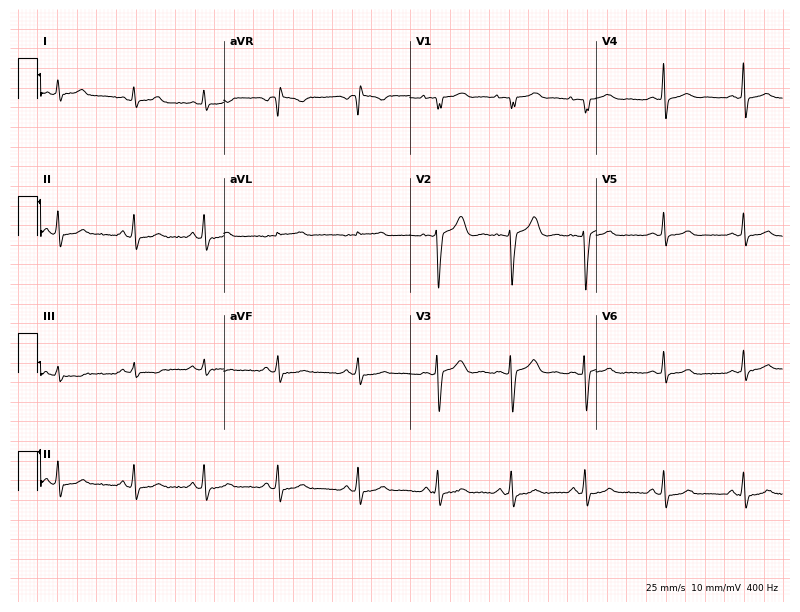
ECG — a woman, 19 years old. Labelled as a normal ECG.